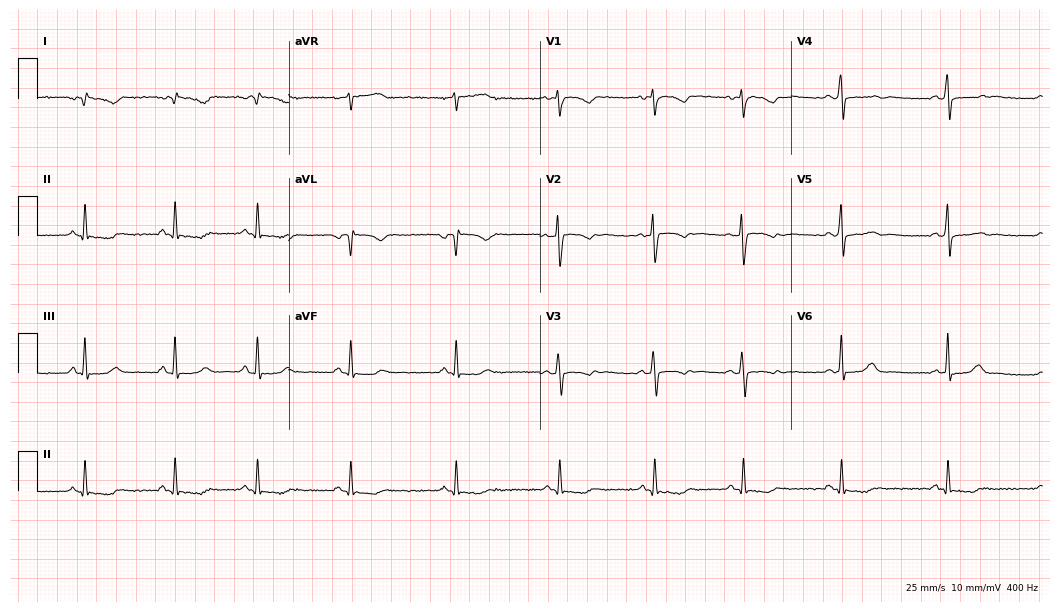
Standard 12-lead ECG recorded from a female, 24 years old (10.2-second recording at 400 Hz). None of these six findings is recorded: first-degree AV block, right bundle branch block, left bundle branch block, sinus bradycardia, atrial fibrillation, sinus tachycardia.